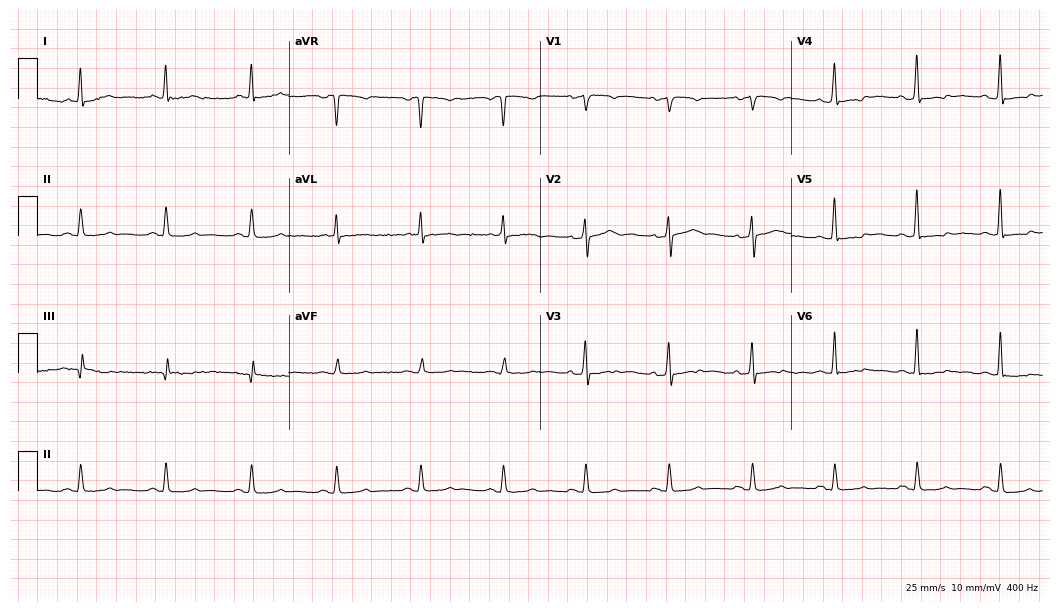
Electrocardiogram (10.2-second recording at 400 Hz), a man, 51 years old. Overall reading on record: normal ECG.